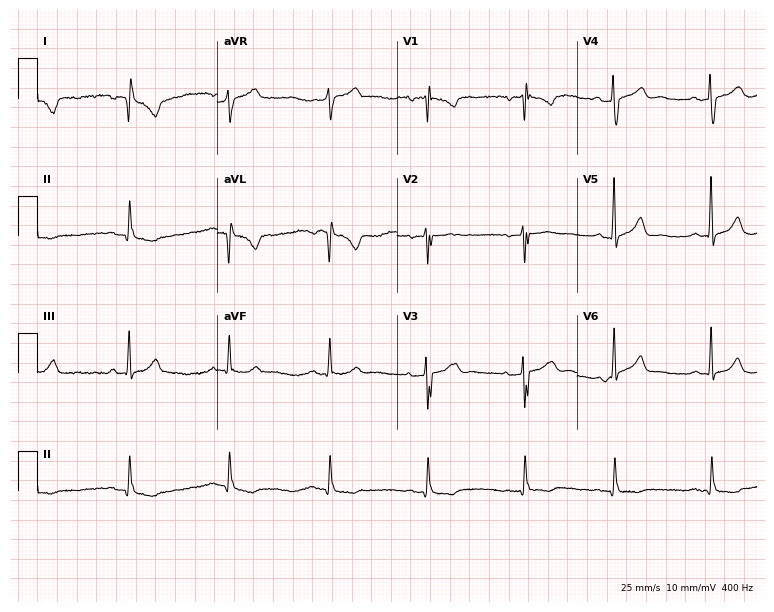
ECG — a 41-year-old man. Screened for six findings — first-degree AV block, right bundle branch block, left bundle branch block, sinus bradycardia, atrial fibrillation, sinus tachycardia — none is recorded.